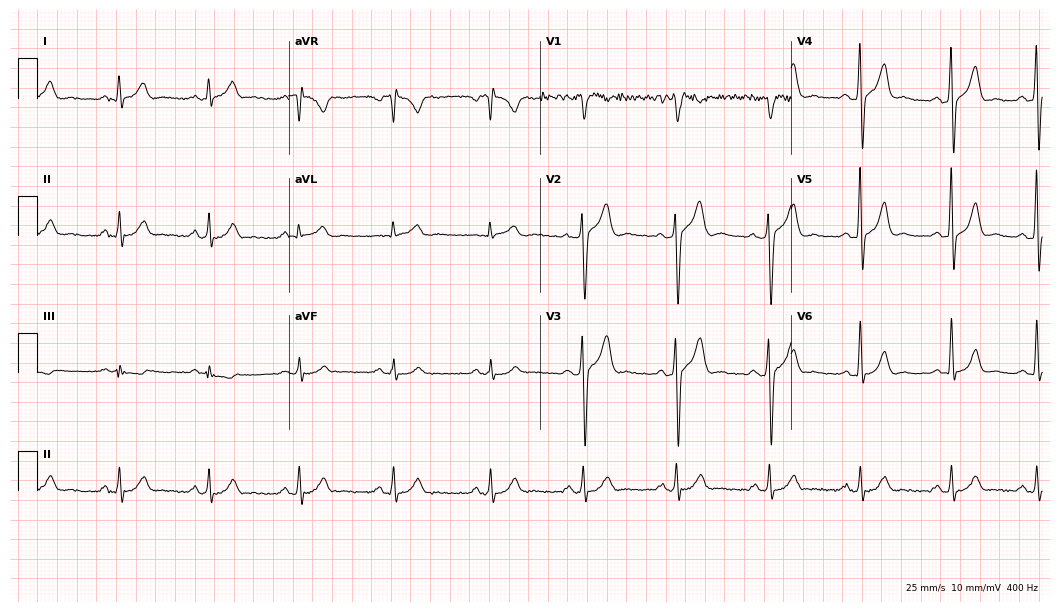
12-lead ECG from a man, 48 years old (10.2-second recording at 400 Hz). Recorded interpretation: within normal limits.